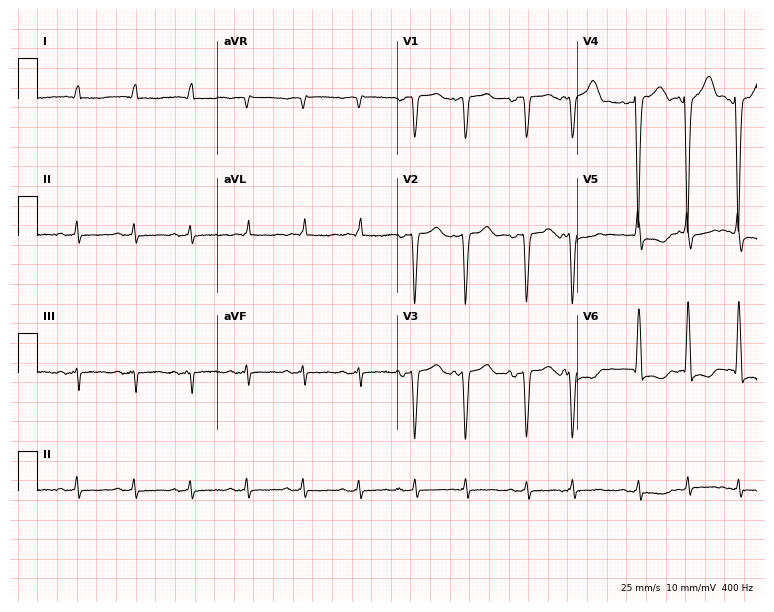
Standard 12-lead ECG recorded from an 82-year-old female patient. None of these six findings is recorded: first-degree AV block, right bundle branch block, left bundle branch block, sinus bradycardia, atrial fibrillation, sinus tachycardia.